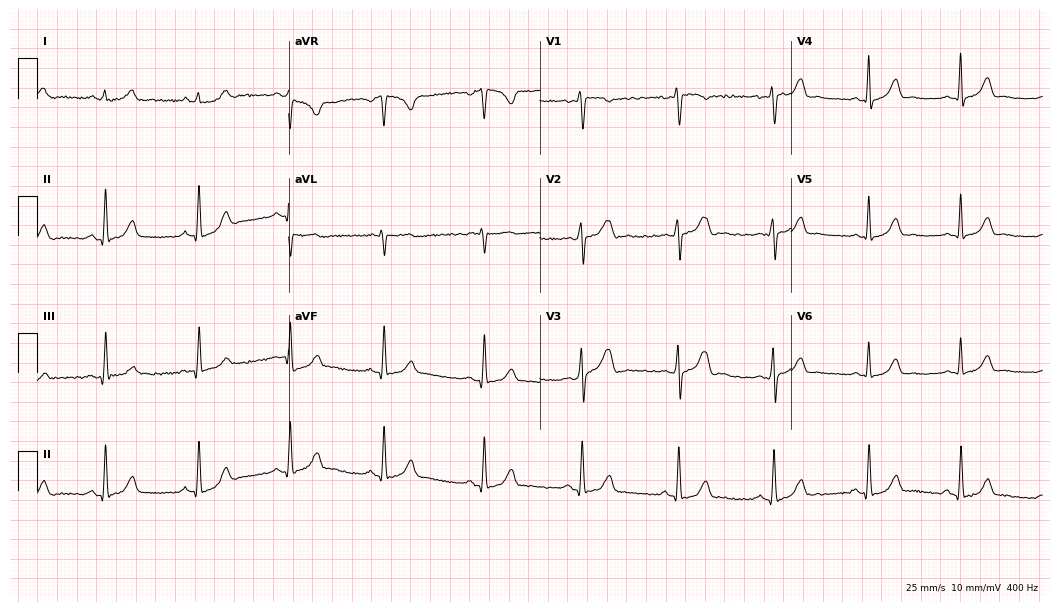
12-lead ECG (10.2-second recording at 400 Hz) from a 24-year-old female patient. Labelled as a normal ECG.